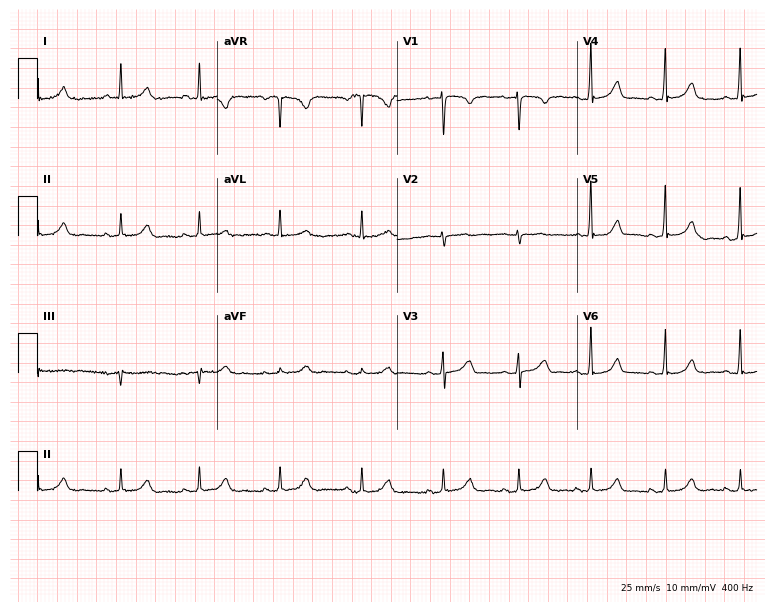
ECG (7.3-second recording at 400 Hz) — a female, 31 years old. Labelled as a normal ECG.